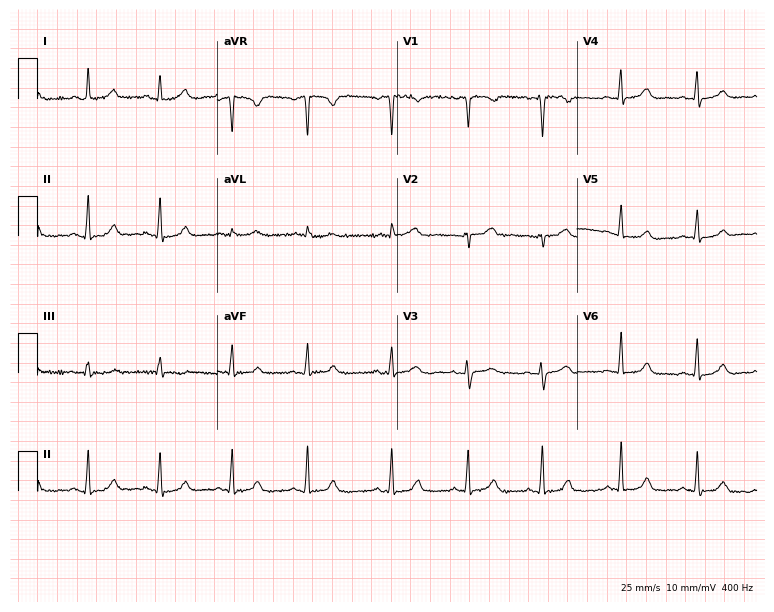
ECG (7.3-second recording at 400 Hz) — a 34-year-old woman. Labelled as a normal ECG.